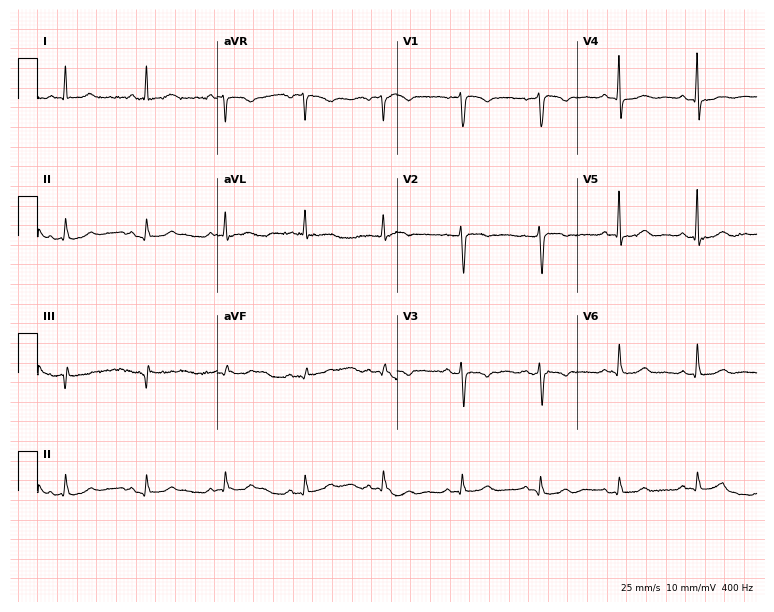
Resting 12-lead electrocardiogram (7.3-second recording at 400 Hz). Patient: a 76-year-old female. None of these six findings is recorded: first-degree AV block, right bundle branch block (RBBB), left bundle branch block (LBBB), sinus bradycardia, atrial fibrillation (AF), sinus tachycardia. Findings outside these six are not listed.